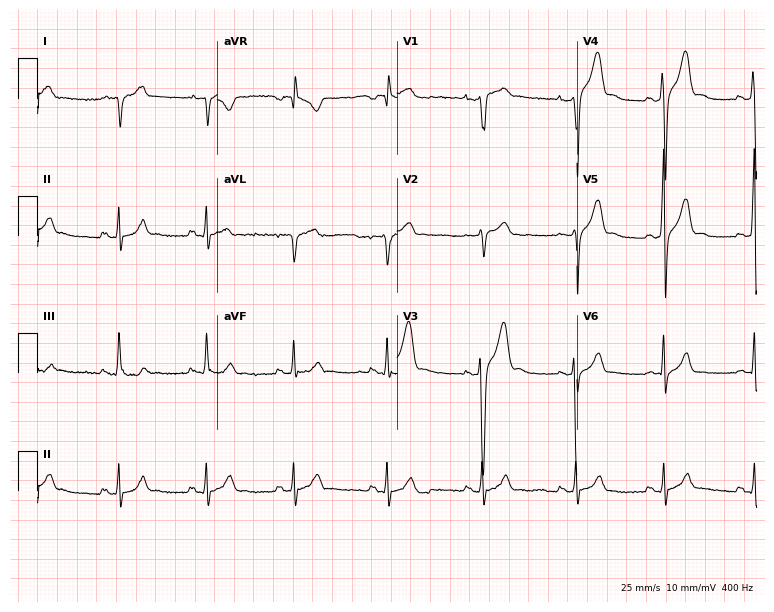
ECG — a male patient, 26 years old. Labelled as a normal ECG.